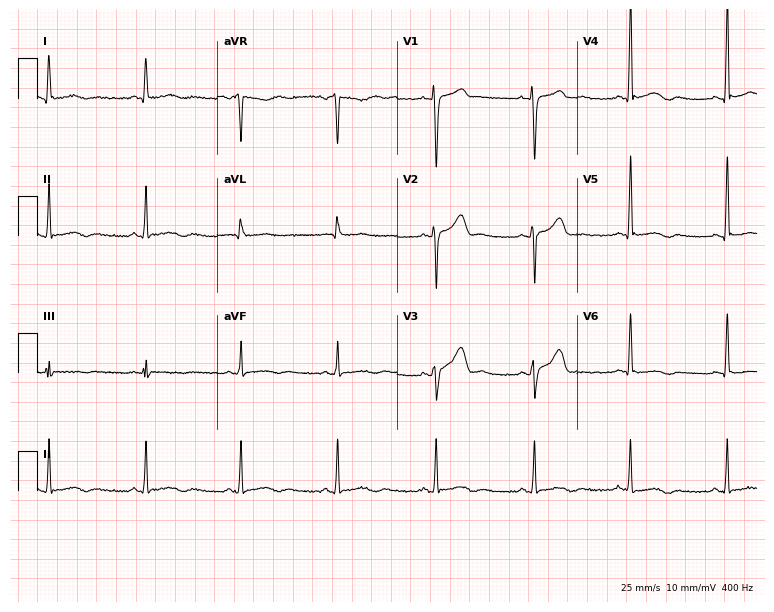
Standard 12-lead ECG recorded from a 42-year-old male patient (7.3-second recording at 400 Hz). None of these six findings is recorded: first-degree AV block, right bundle branch block, left bundle branch block, sinus bradycardia, atrial fibrillation, sinus tachycardia.